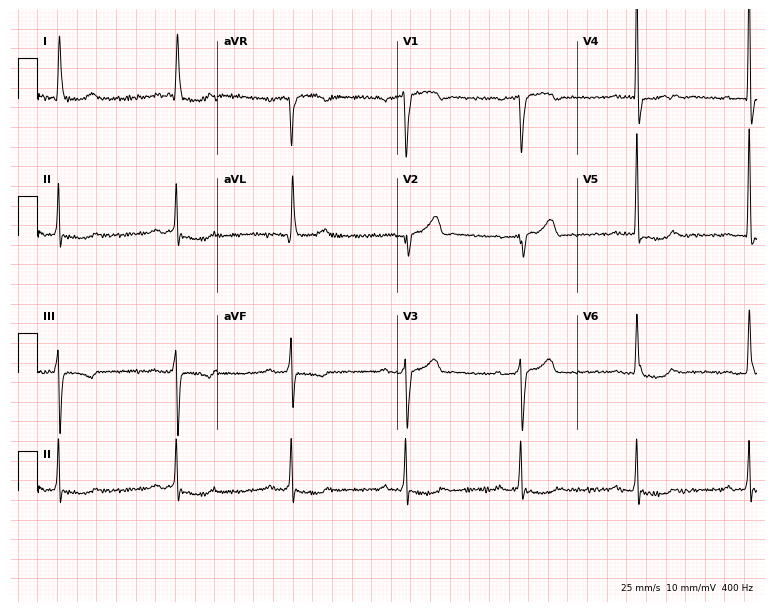
Standard 12-lead ECG recorded from an 83-year-old woman (7.3-second recording at 400 Hz). None of these six findings is recorded: first-degree AV block, right bundle branch block, left bundle branch block, sinus bradycardia, atrial fibrillation, sinus tachycardia.